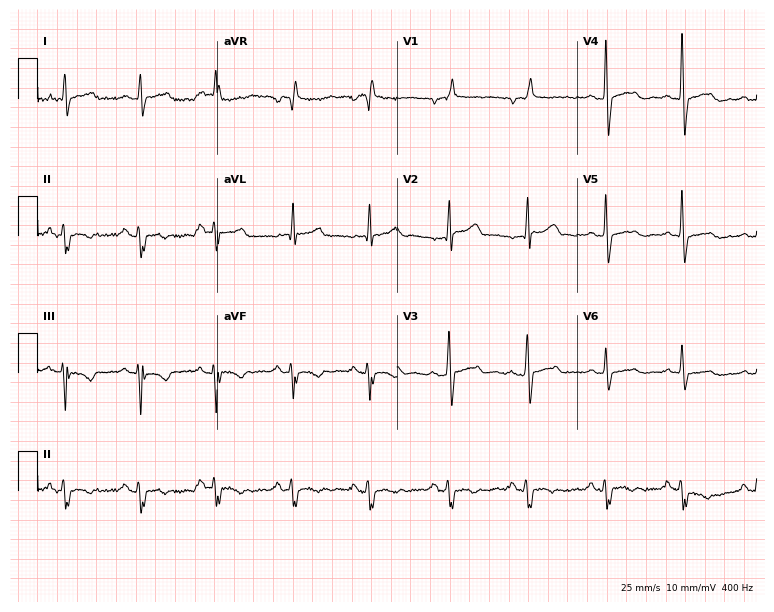
Electrocardiogram (7.3-second recording at 400 Hz), a male patient, 61 years old. Of the six screened findings (first-degree AV block, right bundle branch block (RBBB), left bundle branch block (LBBB), sinus bradycardia, atrial fibrillation (AF), sinus tachycardia), none is recorded. Only these six findings were labelled.